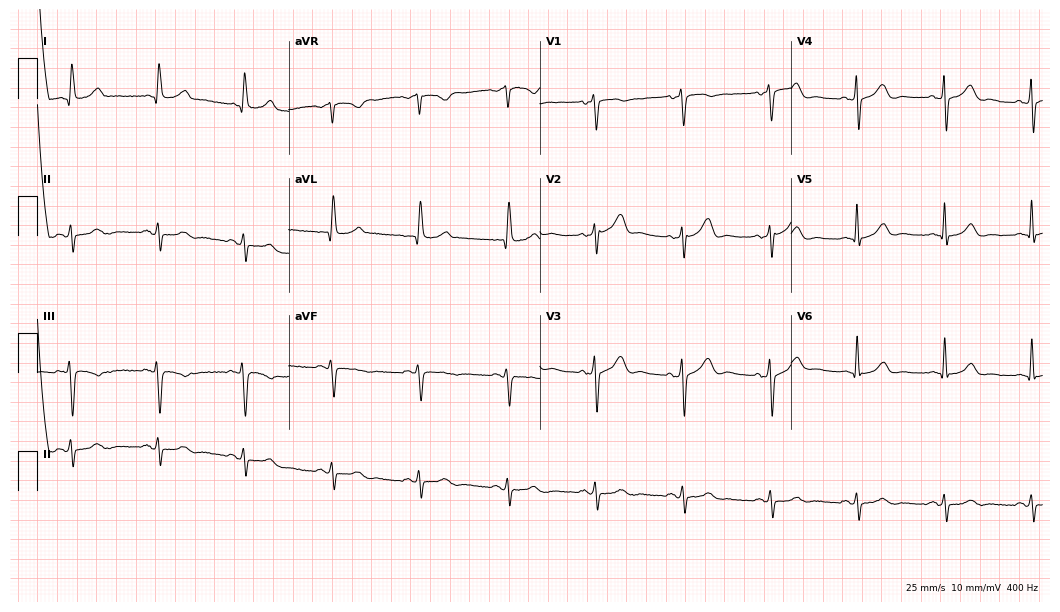
ECG (10.2-second recording at 400 Hz) — a man, 76 years old. Screened for six findings — first-degree AV block, right bundle branch block, left bundle branch block, sinus bradycardia, atrial fibrillation, sinus tachycardia — none is recorded. Other findings, if any, are not listed.